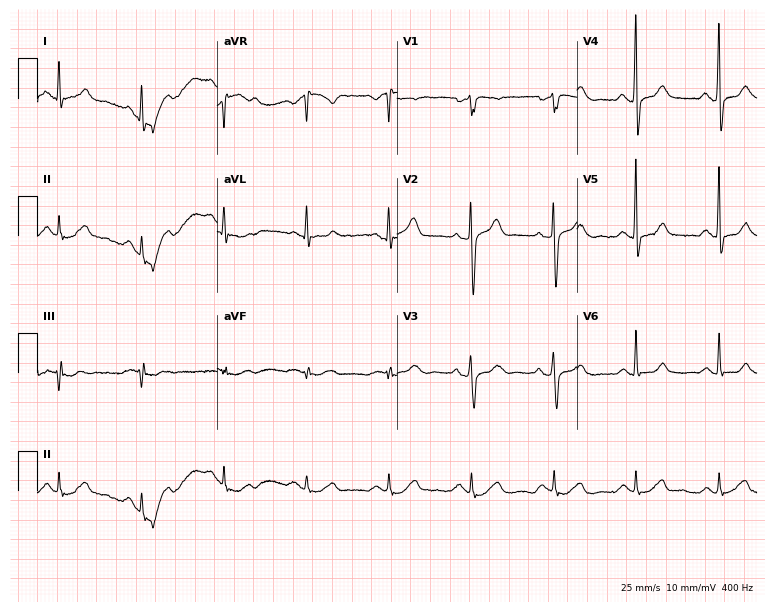
Resting 12-lead electrocardiogram (7.3-second recording at 400 Hz). Patient: a 65-year-old man. Read as a normal ECG.